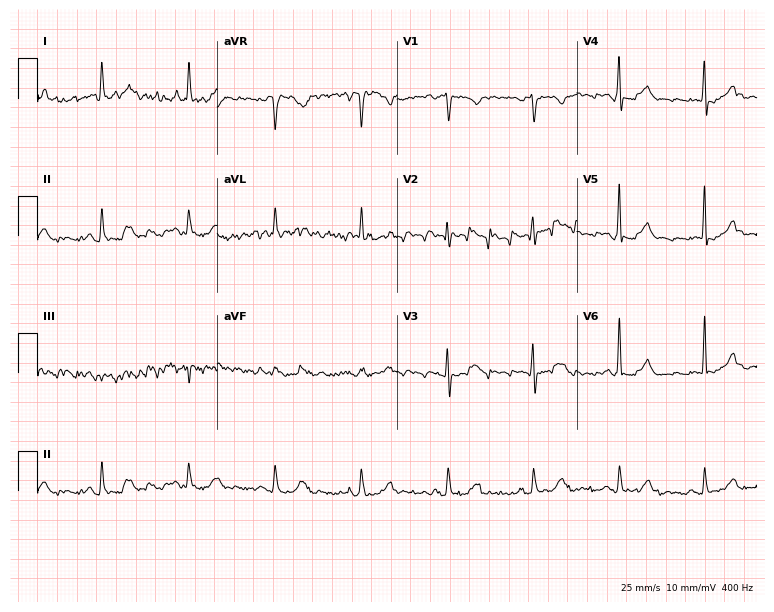
Standard 12-lead ECG recorded from a 67-year-old woman (7.3-second recording at 400 Hz). None of these six findings is recorded: first-degree AV block, right bundle branch block, left bundle branch block, sinus bradycardia, atrial fibrillation, sinus tachycardia.